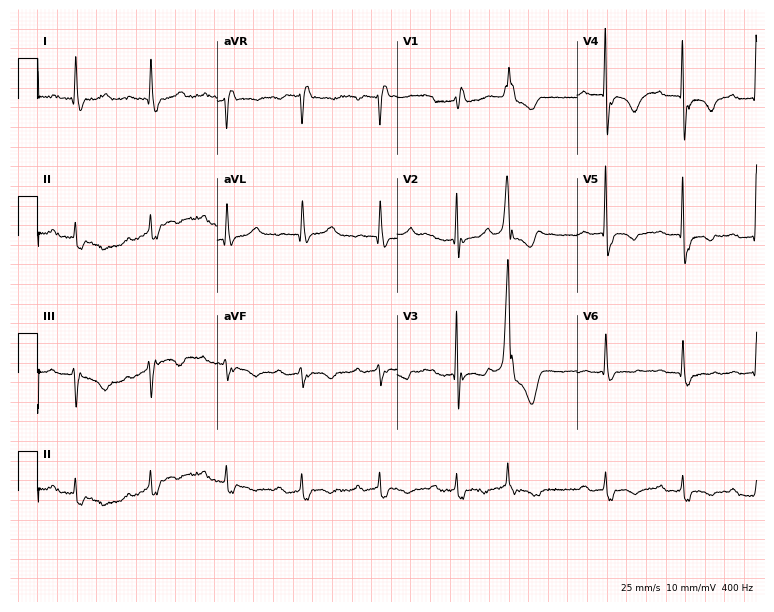
12-lead ECG (7.3-second recording at 400 Hz) from a woman, 81 years old. Findings include first-degree AV block, right bundle branch block.